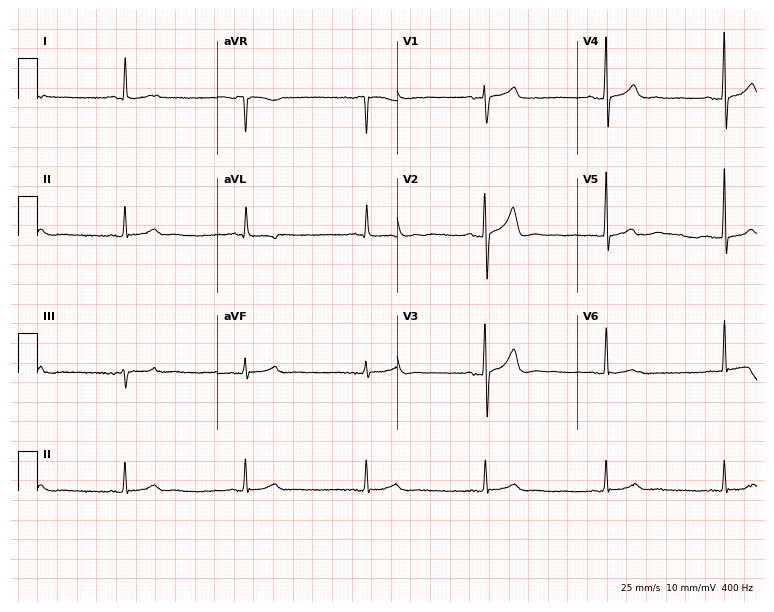
Resting 12-lead electrocardiogram (7.3-second recording at 400 Hz). Patient: a 65-year-old man. The tracing shows sinus bradycardia (a sinus rate of 50 beats per minute or less).